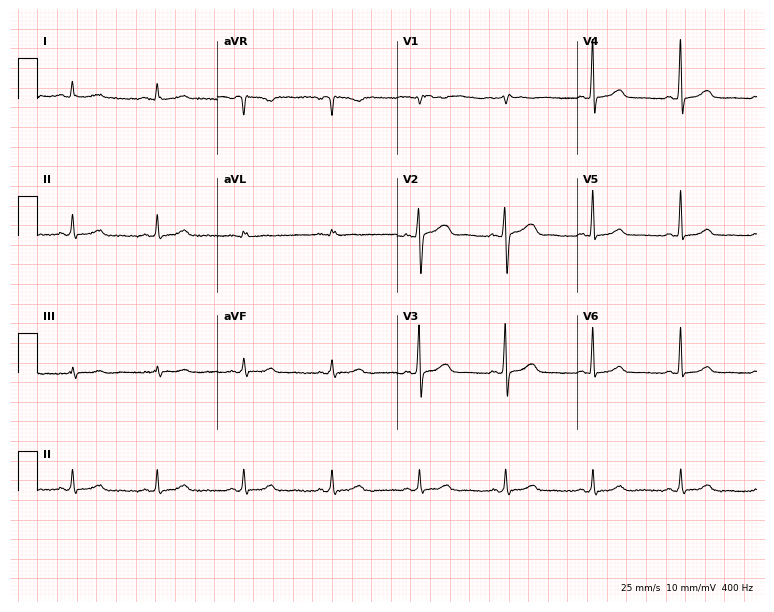
ECG (7.3-second recording at 400 Hz) — a woman, 41 years old. Labelled as a normal ECG.